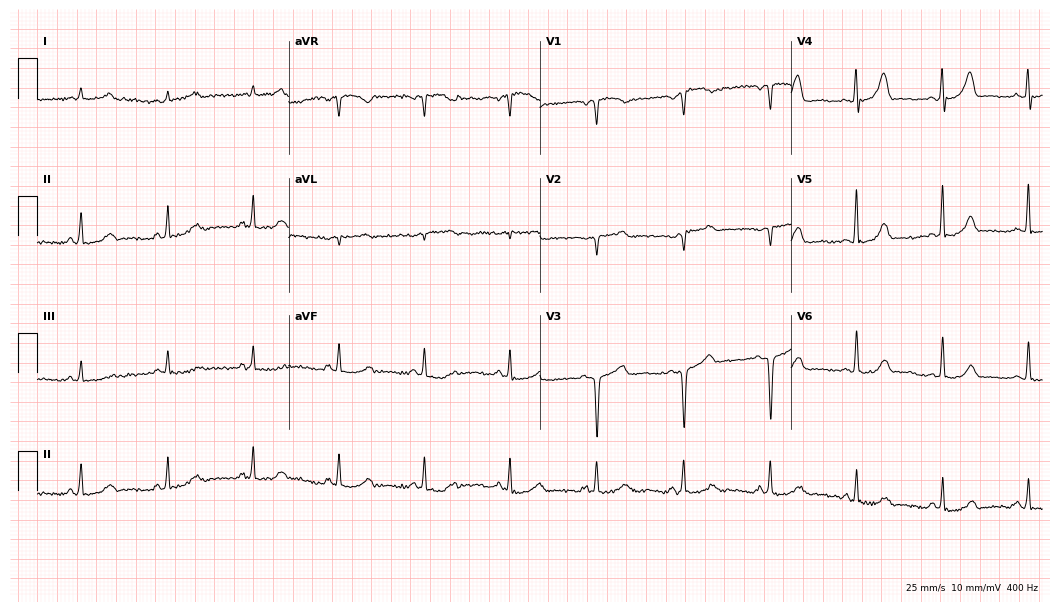
ECG (10.2-second recording at 400 Hz) — a female patient, 67 years old. Screened for six findings — first-degree AV block, right bundle branch block (RBBB), left bundle branch block (LBBB), sinus bradycardia, atrial fibrillation (AF), sinus tachycardia — none is recorded.